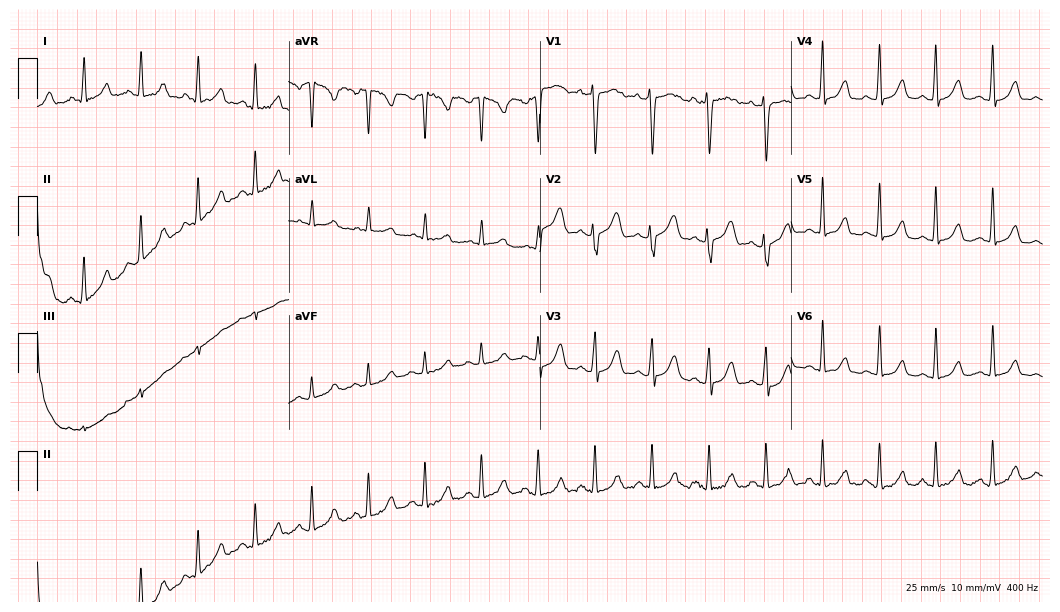
12-lead ECG (10.2-second recording at 400 Hz) from a woman, 42 years old. Findings include sinus tachycardia (a sinus rate of 100 beats per minute or more).